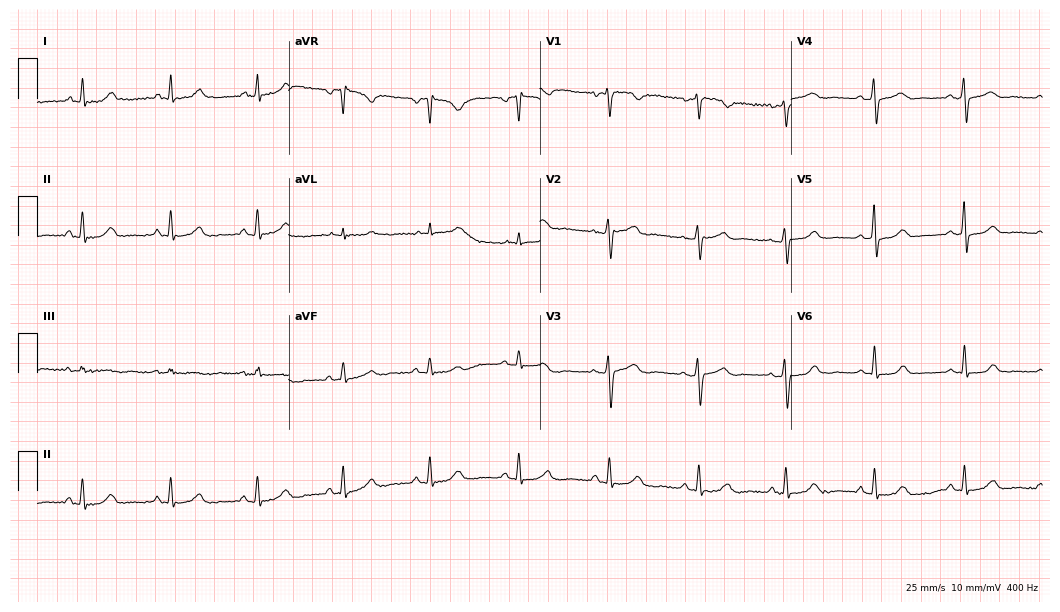
12-lead ECG from a female, 57 years old. Labelled as a normal ECG.